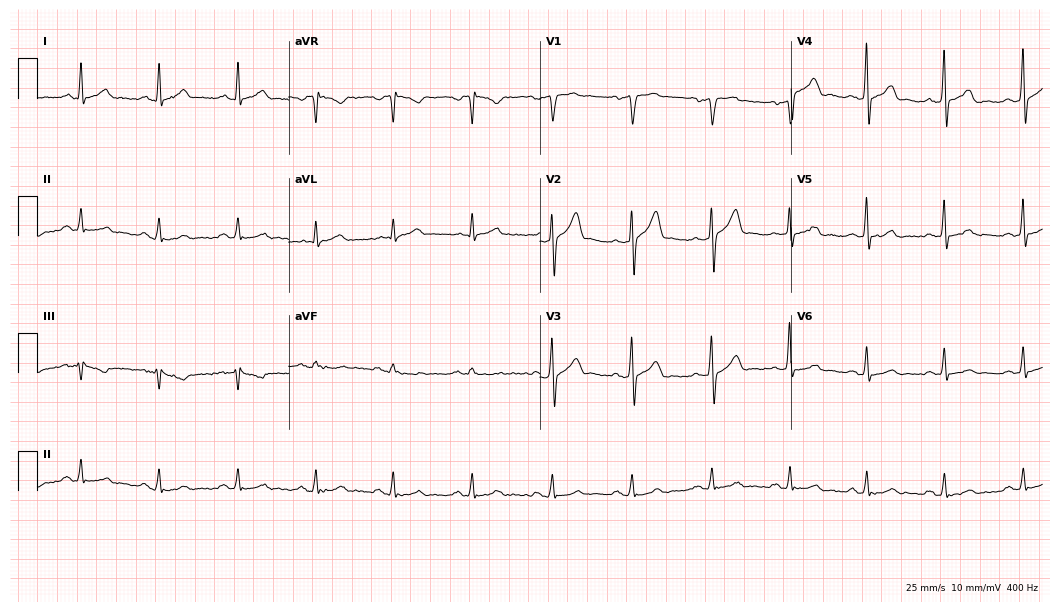
Standard 12-lead ECG recorded from a man, 41 years old. Read as a normal ECG.